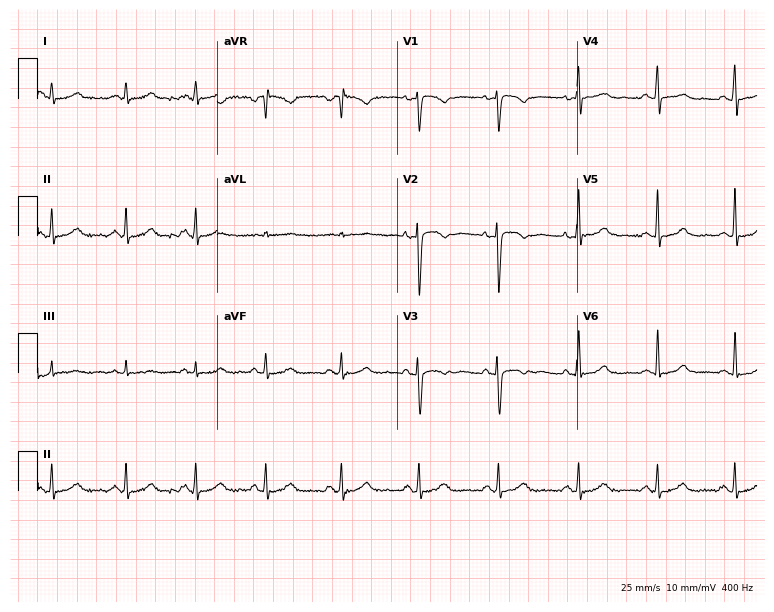
12-lead ECG from a female, 34 years old (7.3-second recording at 400 Hz). No first-degree AV block, right bundle branch block (RBBB), left bundle branch block (LBBB), sinus bradycardia, atrial fibrillation (AF) or sinus tachycardia recorded for this tracing.